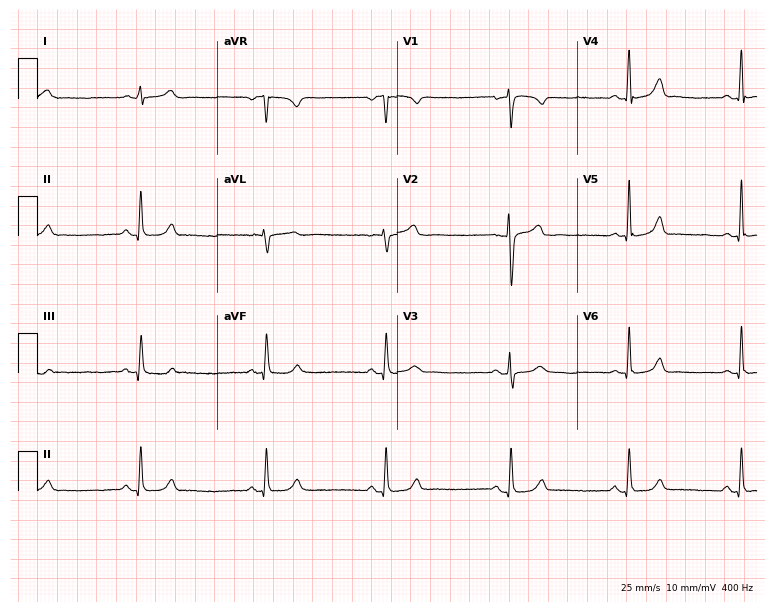
12-lead ECG (7.3-second recording at 400 Hz) from a female patient, 26 years old. Labelled as a normal ECG.